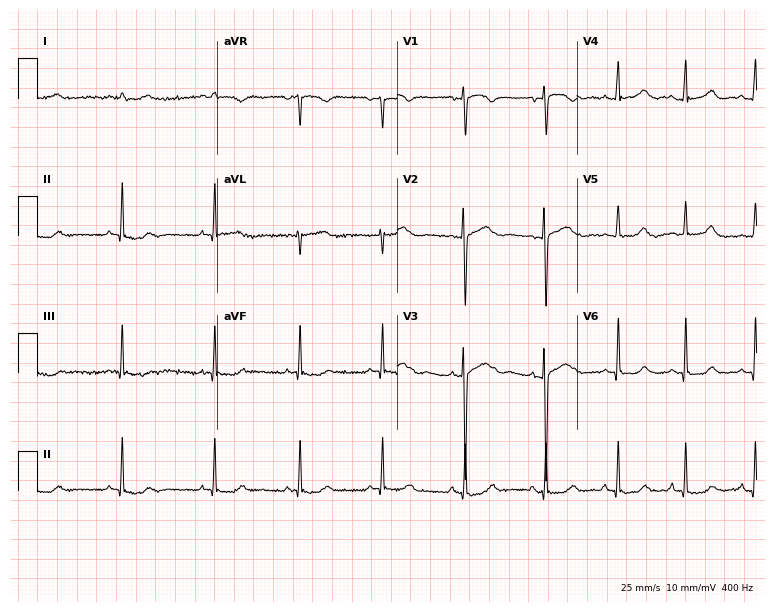
Resting 12-lead electrocardiogram. Patient: a 30-year-old female. None of these six findings is recorded: first-degree AV block, right bundle branch block, left bundle branch block, sinus bradycardia, atrial fibrillation, sinus tachycardia. Other findings, if any, are not listed.